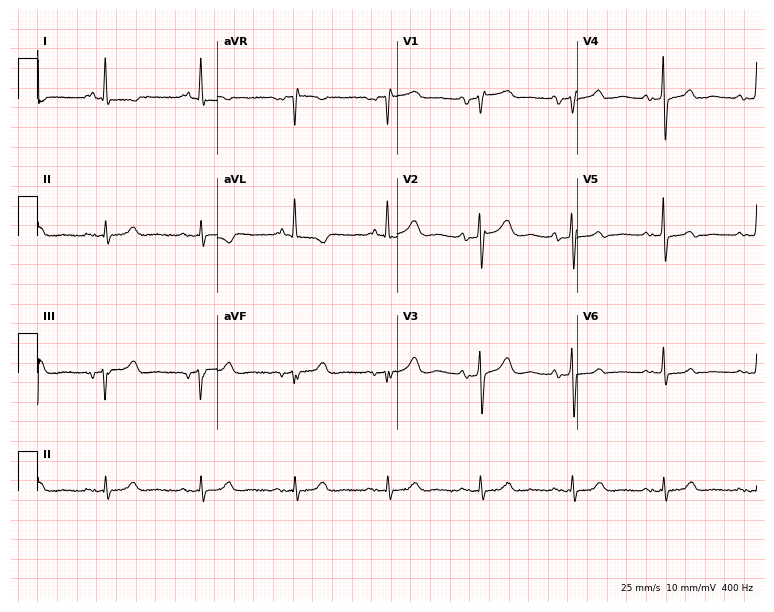
12-lead ECG from a male, 85 years old (7.3-second recording at 400 Hz). Recorded interpretation: within normal limits.